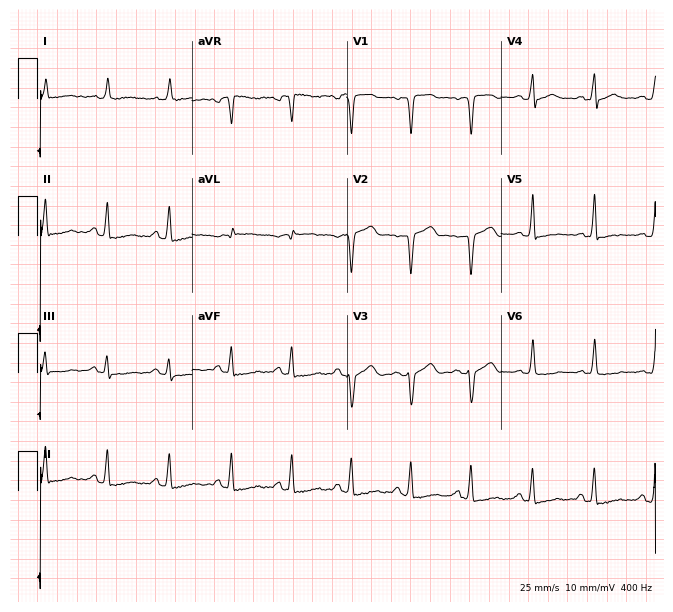
12-lead ECG from a male patient, 56 years old. Screened for six findings — first-degree AV block, right bundle branch block (RBBB), left bundle branch block (LBBB), sinus bradycardia, atrial fibrillation (AF), sinus tachycardia — none is recorded.